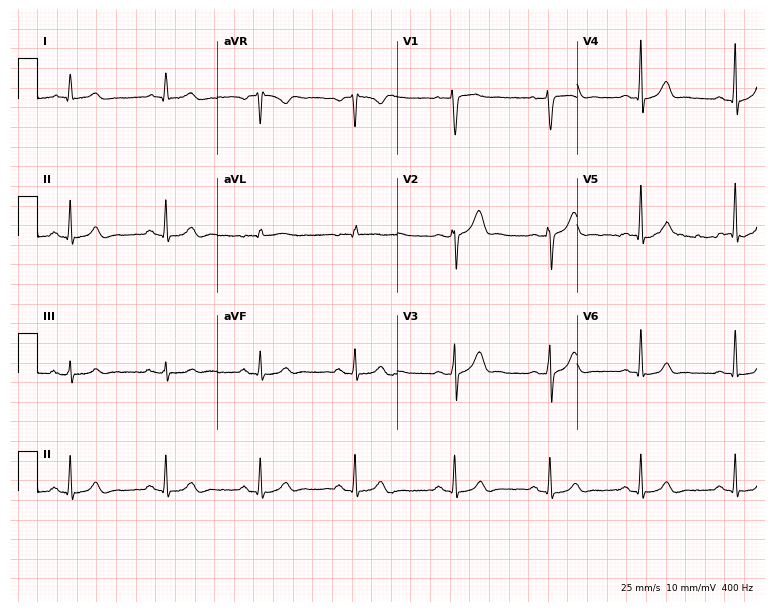
12-lead ECG from a female, 38 years old. Labelled as a normal ECG.